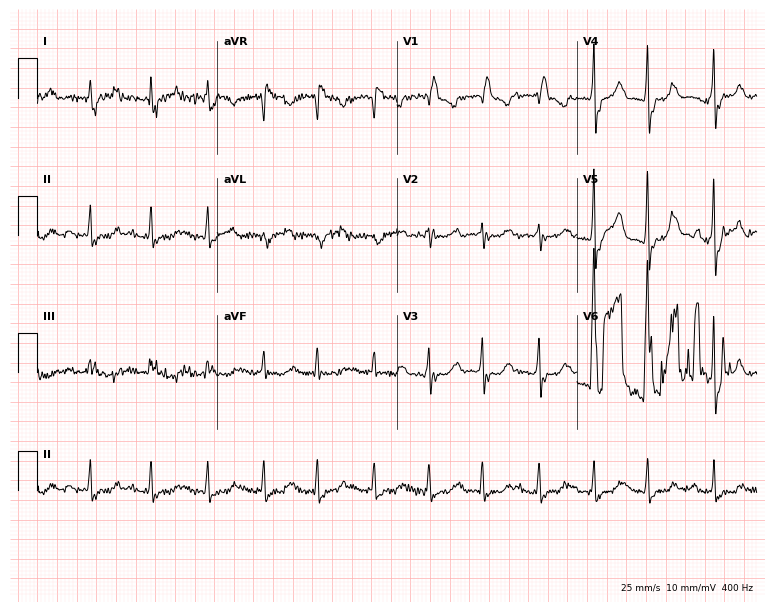
Electrocardiogram, a female, 78 years old. Of the six screened findings (first-degree AV block, right bundle branch block, left bundle branch block, sinus bradycardia, atrial fibrillation, sinus tachycardia), none is recorded. Other findings, if any, are not listed.